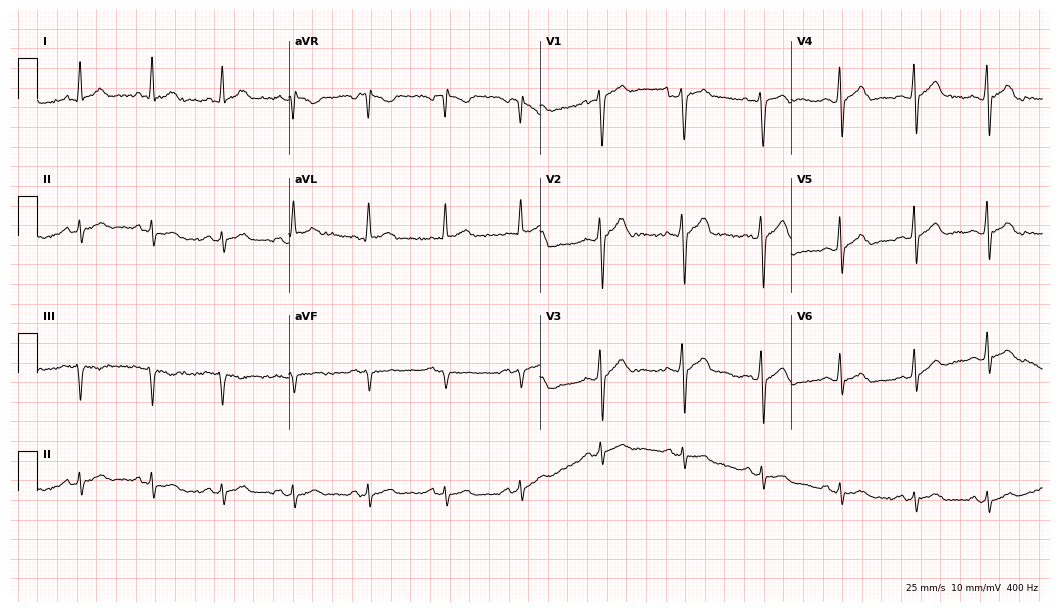
12-lead ECG from a man, 31 years old. No first-degree AV block, right bundle branch block (RBBB), left bundle branch block (LBBB), sinus bradycardia, atrial fibrillation (AF) or sinus tachycardia recorded for this tracing.